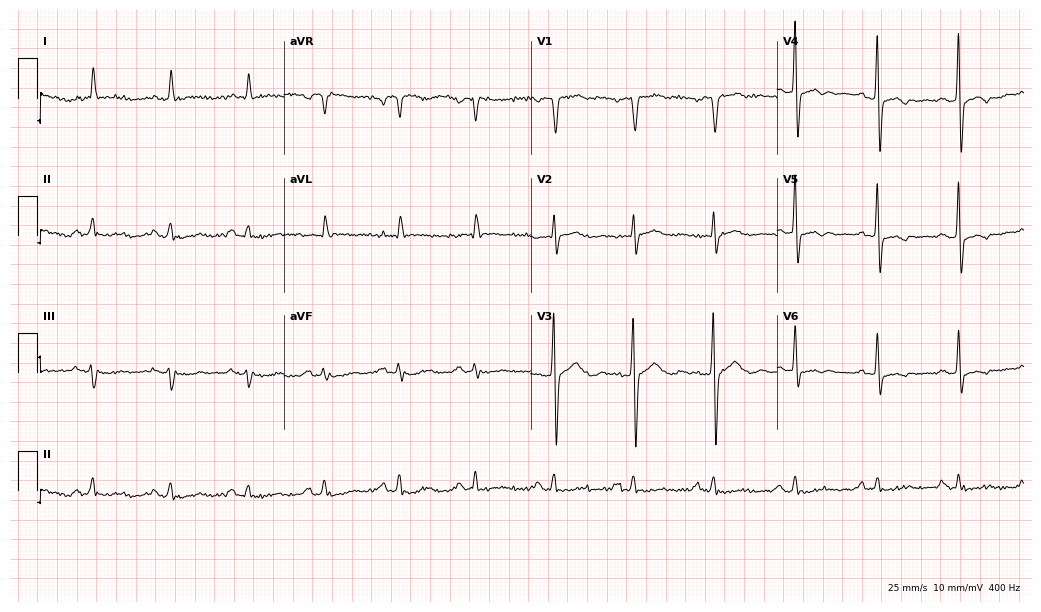
Resting 12-lead electrocardiogram (10.1-second recording at 400 Hz). Patient: a male, 80 years old. Read as a normal ECG.